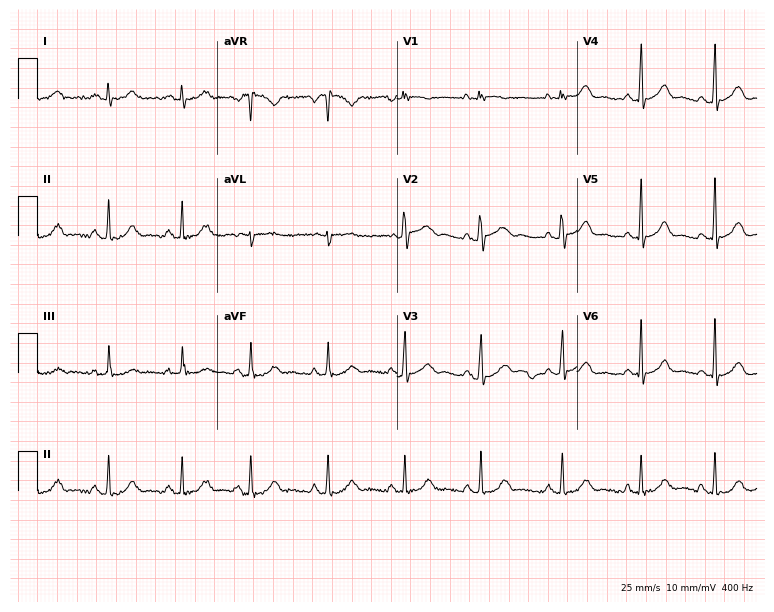
12-lead ECG from a woman, 18 years old. Labelled as a normal ECG.